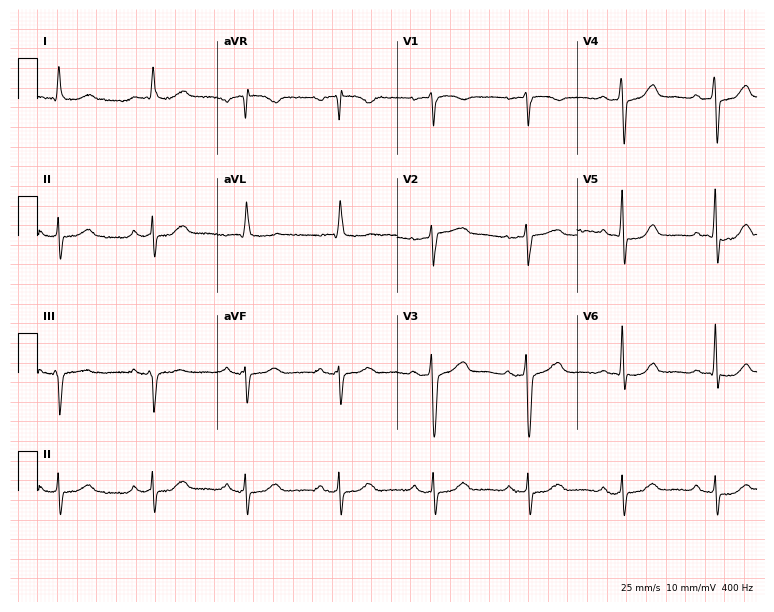
12-lead ECG from a female, 59 years old. Shows first-degree AV block.